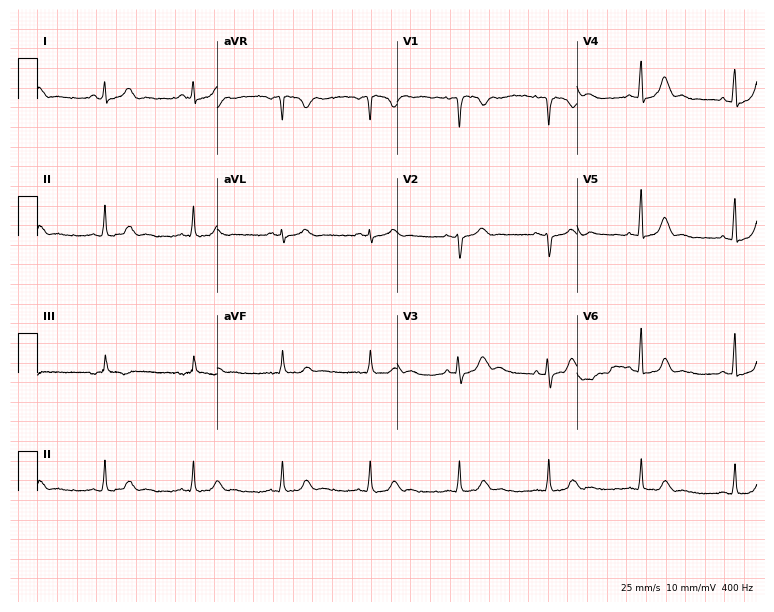
Resting 12-lead electrocardiogram (7.3-second recording at 400 Hz). Patient: a female, 50 years old. Read as a normal ECG.